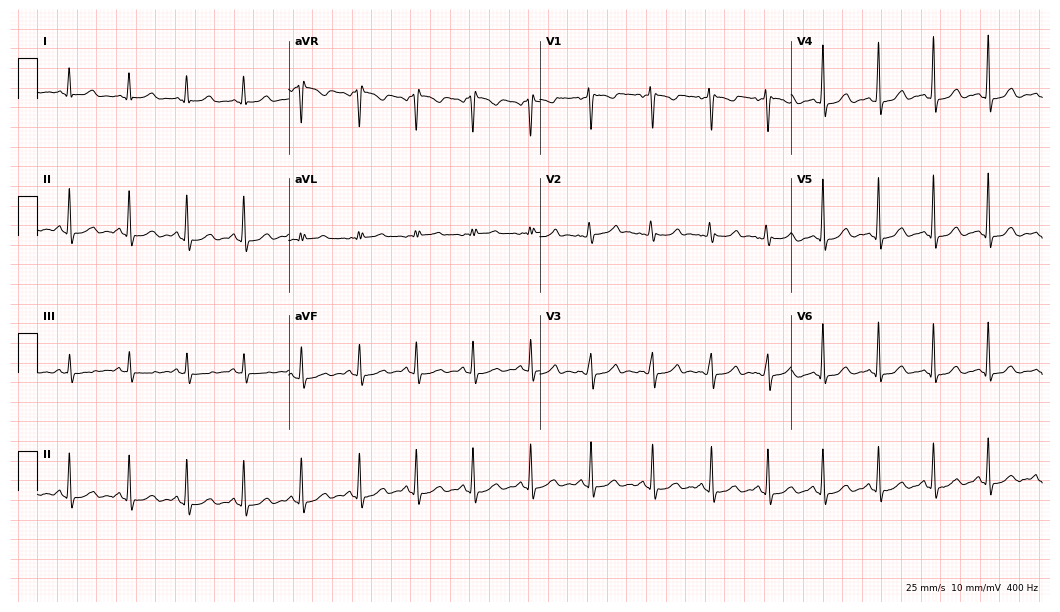
12-lead ECG (10.2-second recording at 400 Hz) from a female patient, 38 years old. Labelled as a normal ECG.